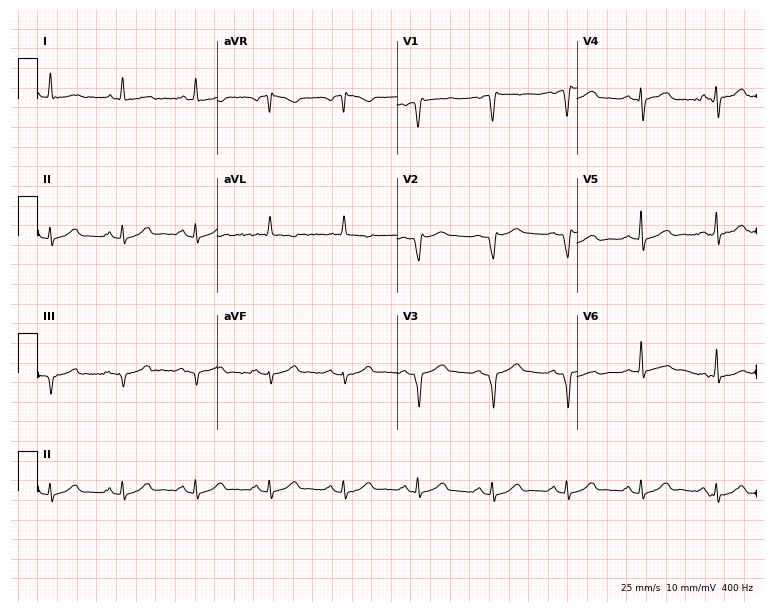
ECG — a man, 80 years old. Screened for six findings — first-degree AV block, right bundle branch block, left bundle branch block, sinus bradycardia, atrial fibrillation, sinus tachycardia — none is recorded. Only these six findings were labelled.